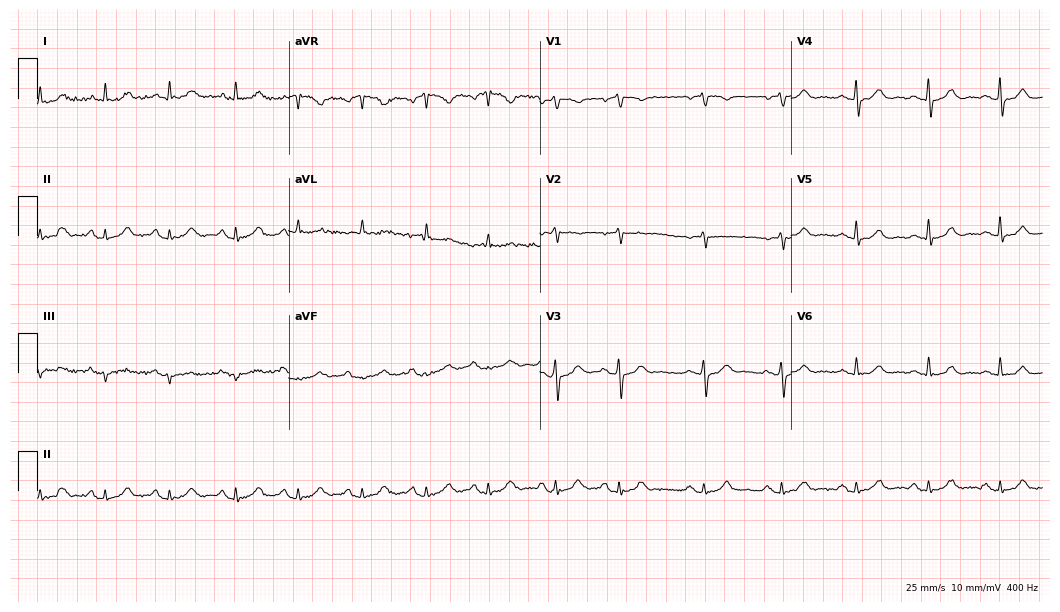
Resting 12-lead electrocardiogram (10.2-second recording at 400 Hz). Patient: a 66-year-old female. Read as a normal ECG.